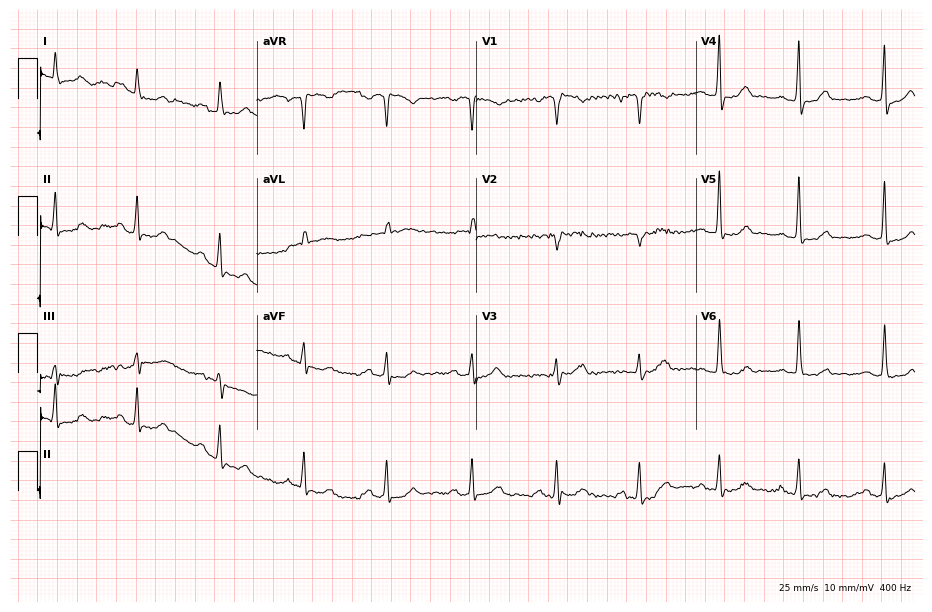
Resting 12-lead electrocardiogram. Patient: a woman, 75 years old. None of these six findings is recorded: first-degree AV block, right bundle branch block, left bundle branch block, sinus bradycardia, atrial fibrillation, sinus tachycardia. Findings outside these six are not listed.